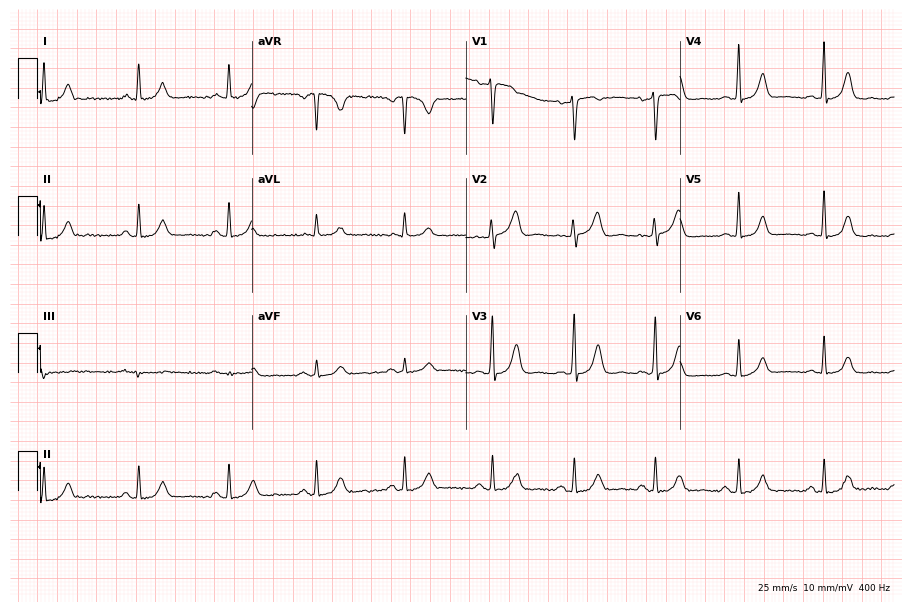
12-lead ECG from a 55-year-old female patient. Recorded interpretation: within normal limits.